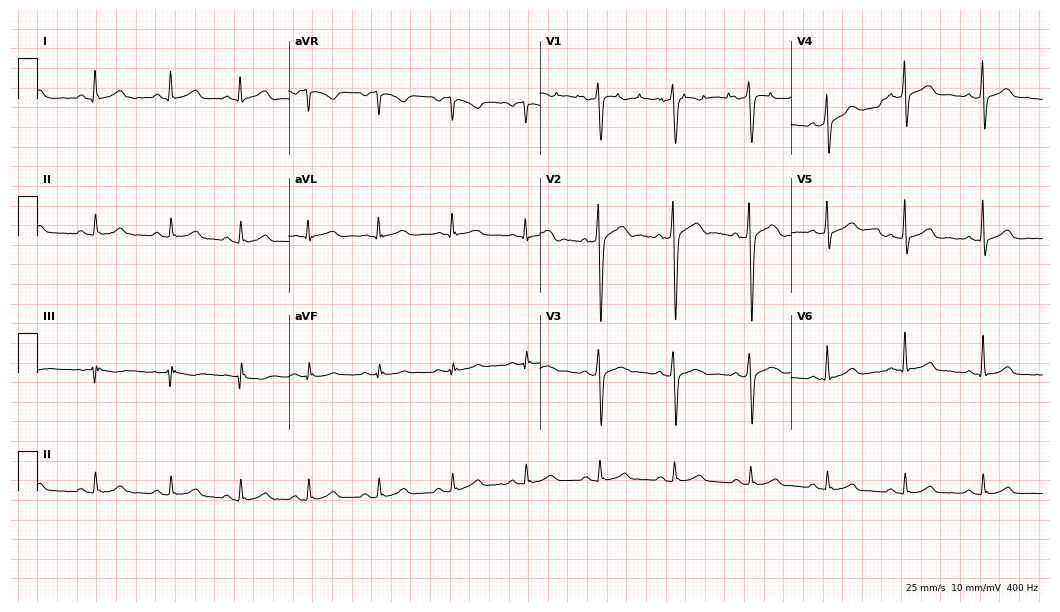
Standard 12-lead ECG recorded from a man, 40 years old. Read as a normal ECG.